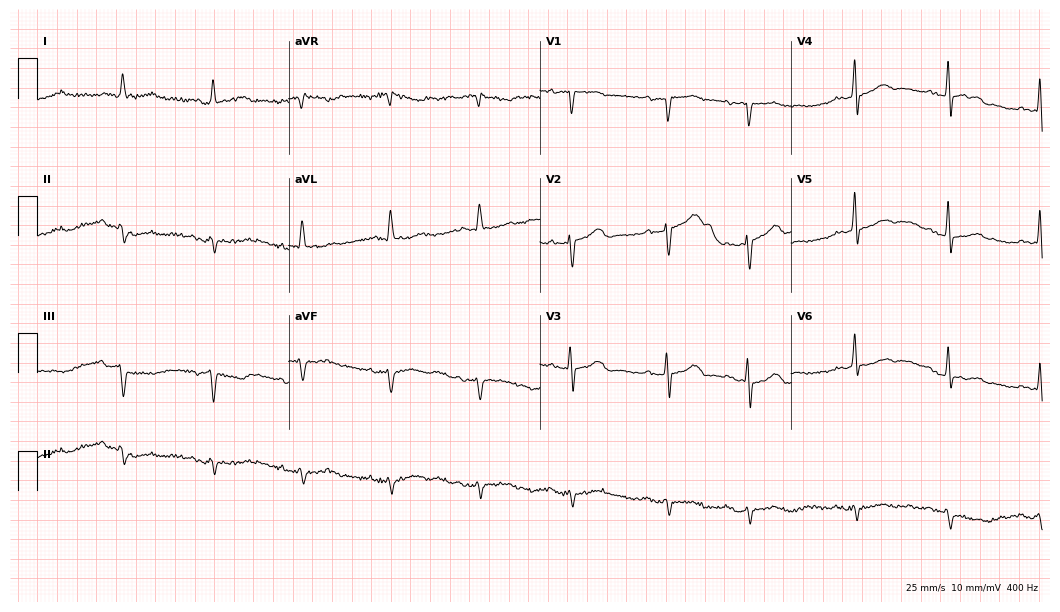
12-lead ECG from a 78-year-old male (10.2-second recording at 400 Hz). No first-degree AV block, right bundle branch block, left bundle branch block, sinus bradycardia, atrial fibrillation or sinus tachycardia recorded for this tracing. Other findings, if any, are not listed.